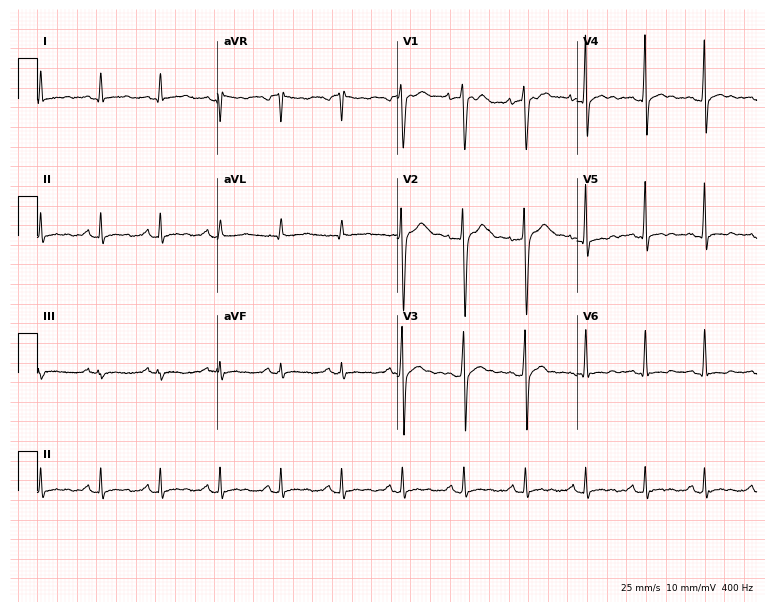
Resting 12-lead electrocardiogram. Patient: a 35-year-old male. None of these six findings is recorded: first-degree AV block, right bundle branch block, left bundle branch block, sinus bradycardia, atrial fibrillation, sinus tachycardia. Findings outside these six are not listed.